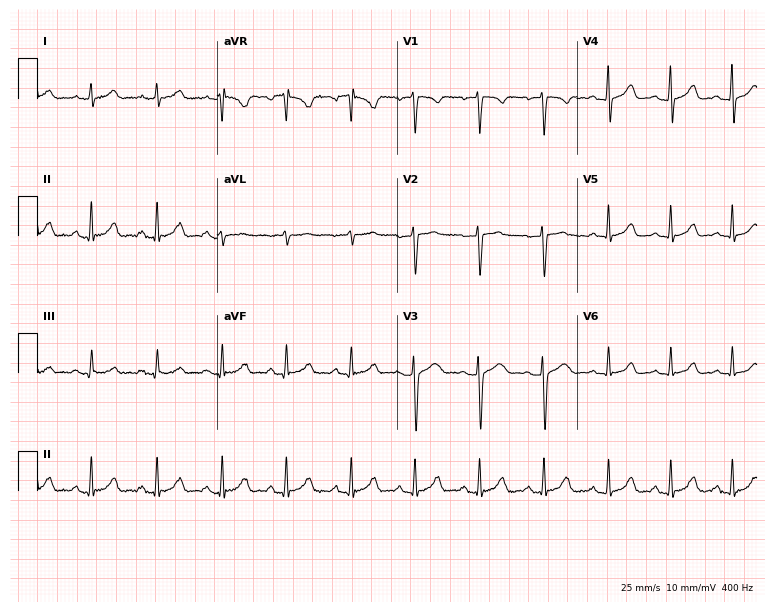
Standard 12-lead ECG recorded from a 27-year-old female (7.3-second recording at 400 Hz). None of these six findings is recorded: first-degree AV block, right bundle branch block, left bundle branch block, sinus bradycardia, atrial fibrillation, sinus tachycardia. Only these six findings were labelled.